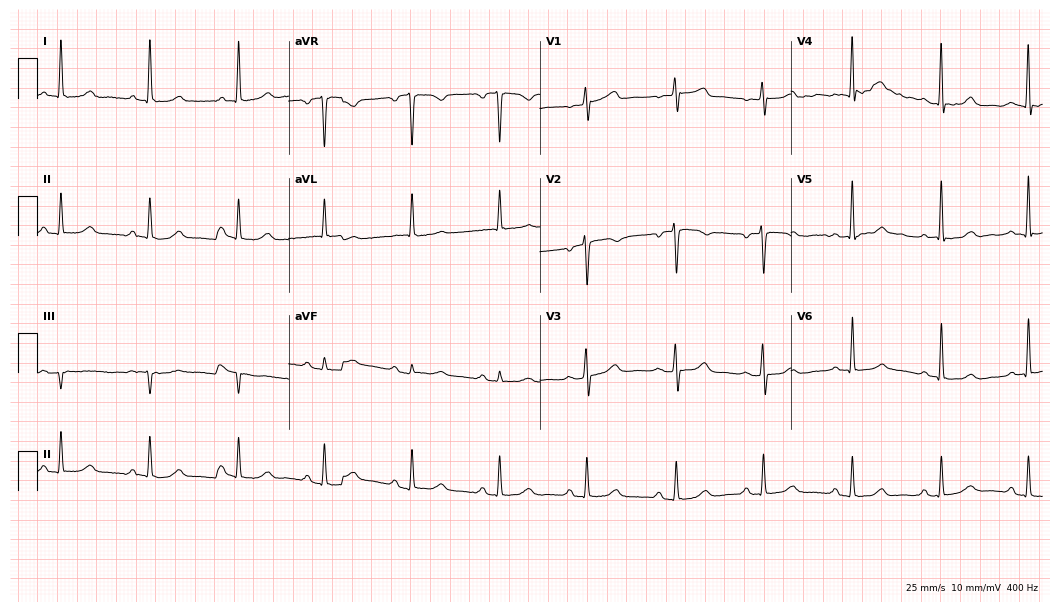
Resting 12-lead electrocardiogram. Patient: a woman, 65 years old. None of these six findings is recorded: first-degree AV block, right bundle branch block (RBBB), left bundle branch block (LBBB), sinus bradycardia, atrial fibrillation (AF), sinus tachycardia.